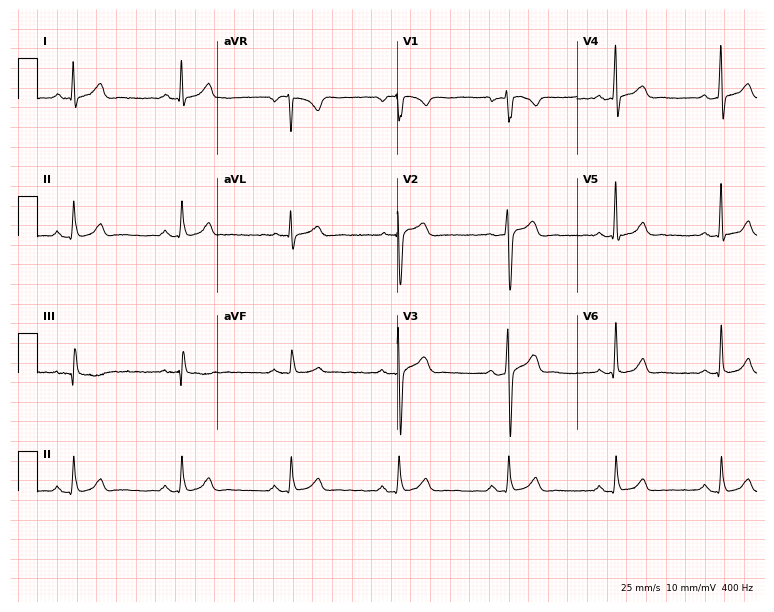
ECG — a man, 47 years old. Screened for six findings — first-degree AV block, right bundle branch block (RBBB), left bundle branch block (LBBB), sinus bradycardia, atrial fibrillation (AF), sinus tachycardia — none is recorded.